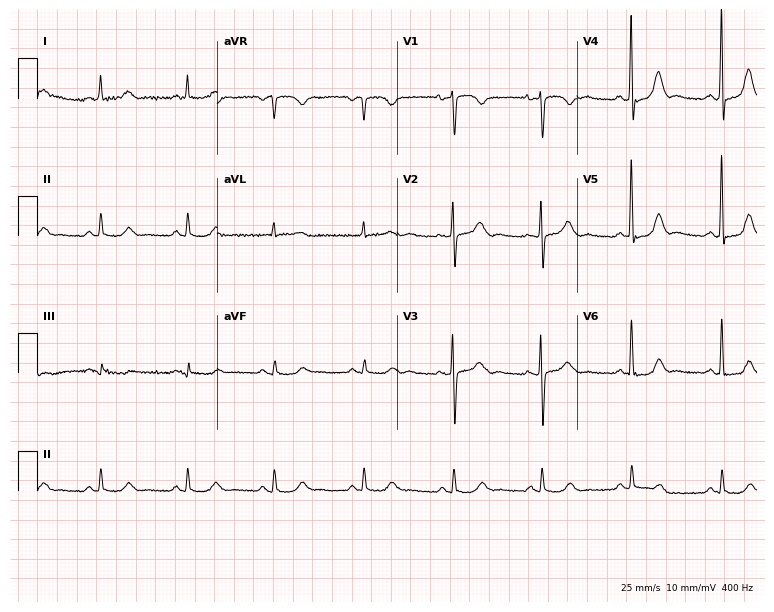
12-lead ECG from a female, 70 years old. Labelled as a normal ECG.